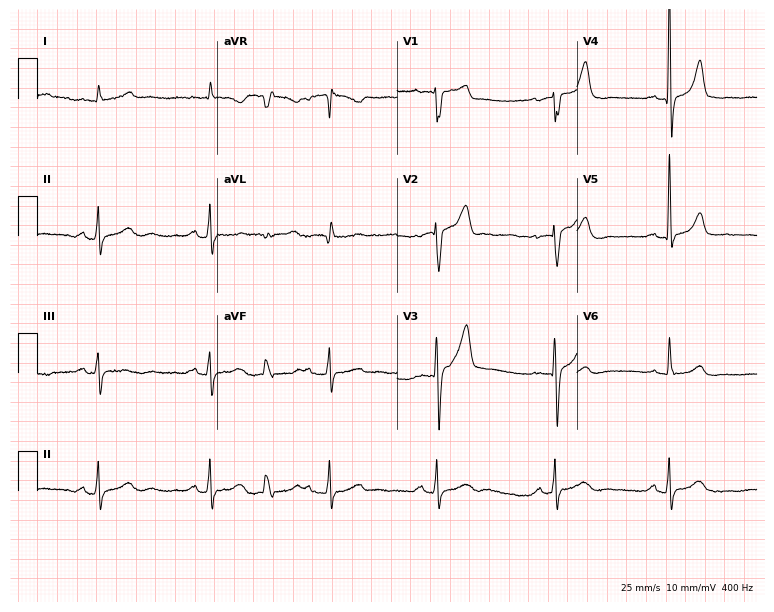
12-lead ECG from a man, 67 years old. No first-degree AV block, right bundle branch block, left bundle branch block, sinus bradycardia, atrial fibrillation or sinus tachycardia recorded for this tracing.